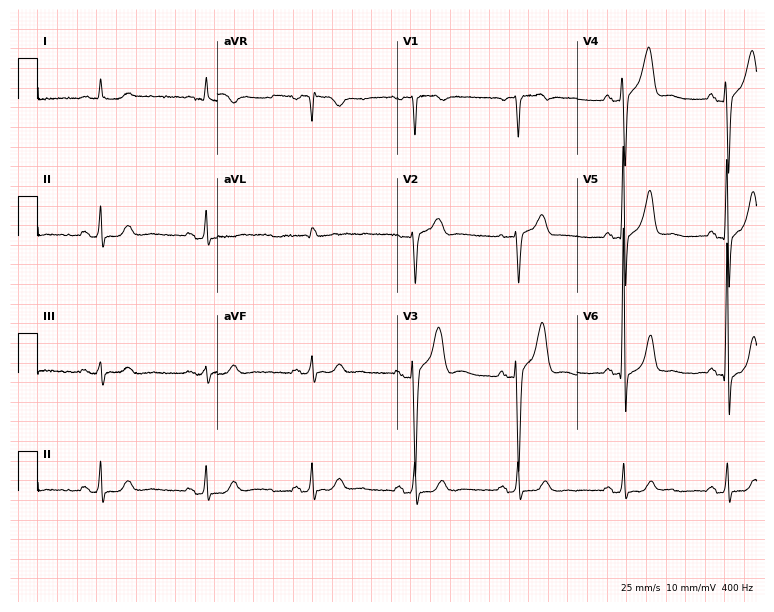
12-lead ECG from a 65-year-old man (7.3-second recording at 400 Hz). No first-degree AV block, right bundle branch block (RBBB), left bundle branch block (LBBB), sinus bradycardia, atrial fibrillation (AF) or sinus tachycardia recorded for this tracing. Findings outside these six are not listed.